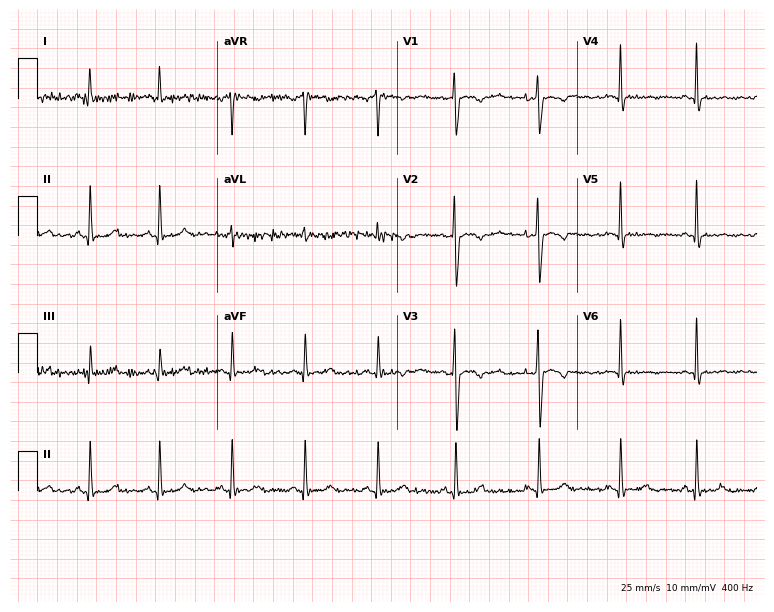
12-lead ECG (7.3-second recording at 400 Hz) from a woman, 35 years old. Screened for six findings — first-degree AV block, right bundle branch block, left bundle branch block, sinus bradycardia, atrial fibrillation, sinus tachycardia — none is recorded. Only these six findings were labelled.